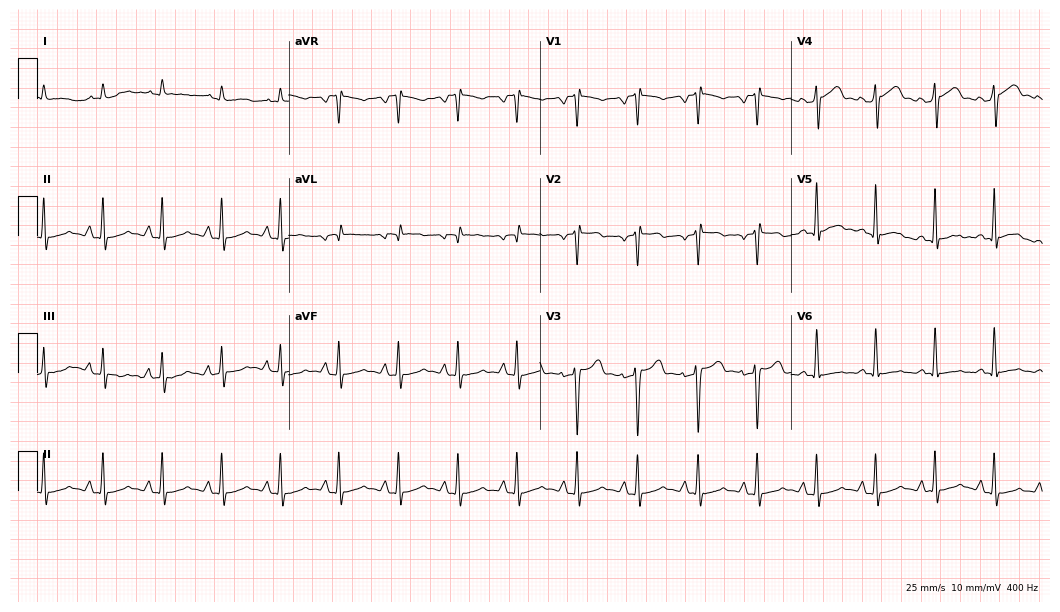
Resting 12-lead electrocardiogram (10.2-second recording at 400 Hz). Patient: a 26-year-old male. None of these six findings is recorded: first-degree AV block, right bundle branch block, left bundle branch block, sinus bradycardia, atrial fibrillation, sinus tachycardia. Only these six findings were labelled.